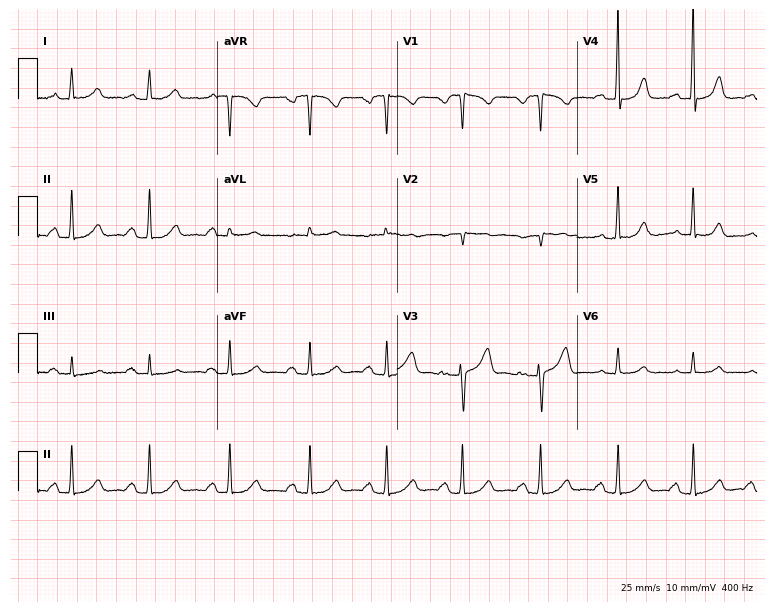
Resting 12-lead electrocardiogram (7.3-second recording at 400 Hz). Patient: a 53-year-old female. None of these six findings is recorded: first-degree AV block, right bundle branch block, left bundle branch block, sinus bradycardia, atrial fibrillation, sinus tachycardia.